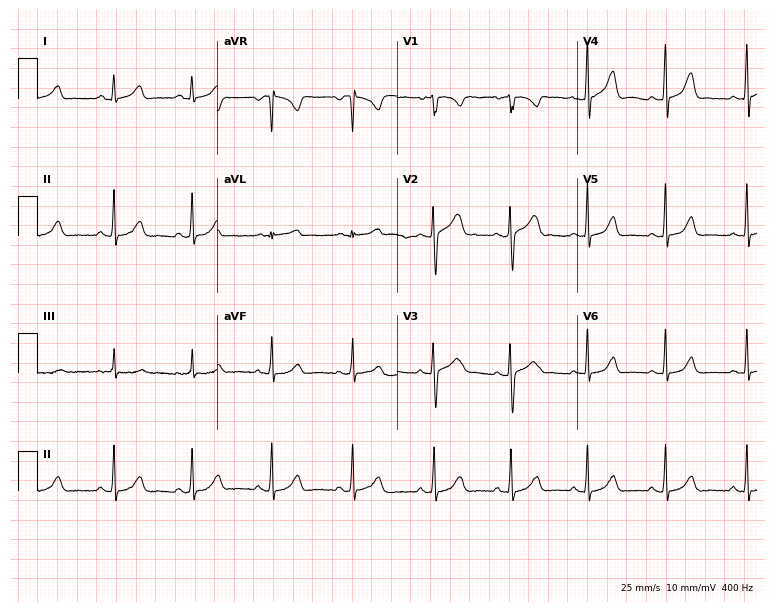
12-lead ECG from a woman, 26 years old (7.3-second recording at 400 Hz). No first-degree AV block, right bundle branch block, left bundle branch block, sinus bradycardia, atrial fibrillation or sinus tachycardia recorded for this tracing.